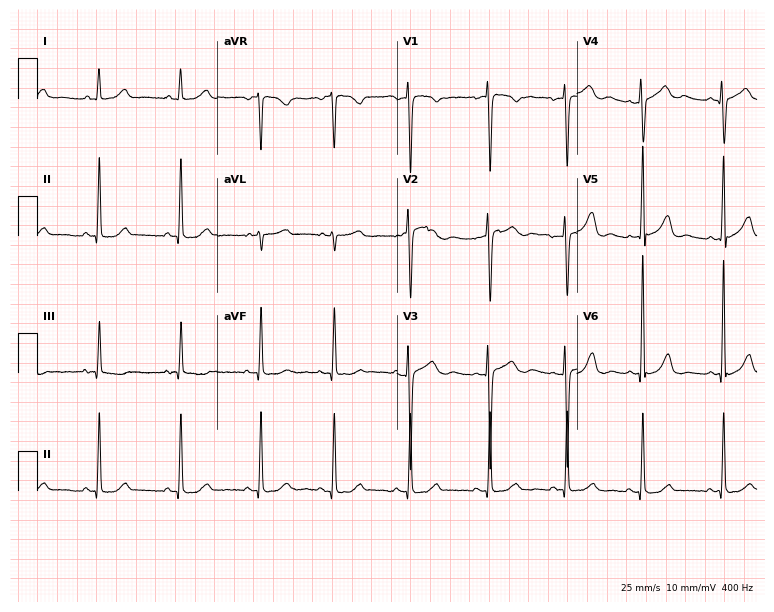
Standard 12-lead ECG recorded from a 48-year-old female. None of these six findings is recorded: first-degree AV block, right bundle branch block, left bundle branch block, sinus bradycardia, atrial fibrillation, sinus tachycardia. Only these six findings were labelled.